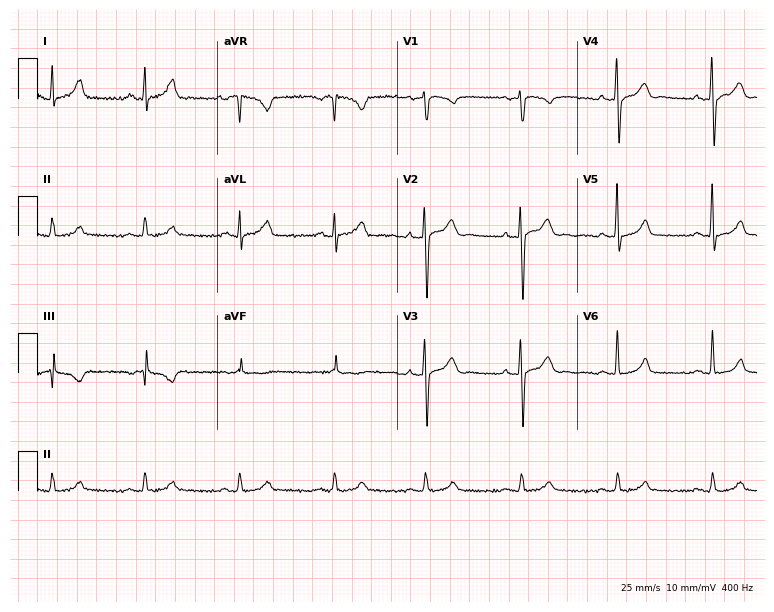
Electrocardiogram (7.3-second recording at 400 Hz), a man, 45 years old. Of the six screened findings (first-degree AV block, right bundle branch block, left bundle branch block, sinus bradycardia, atrial fibrillation, sinus tachycardia), none is recorded.